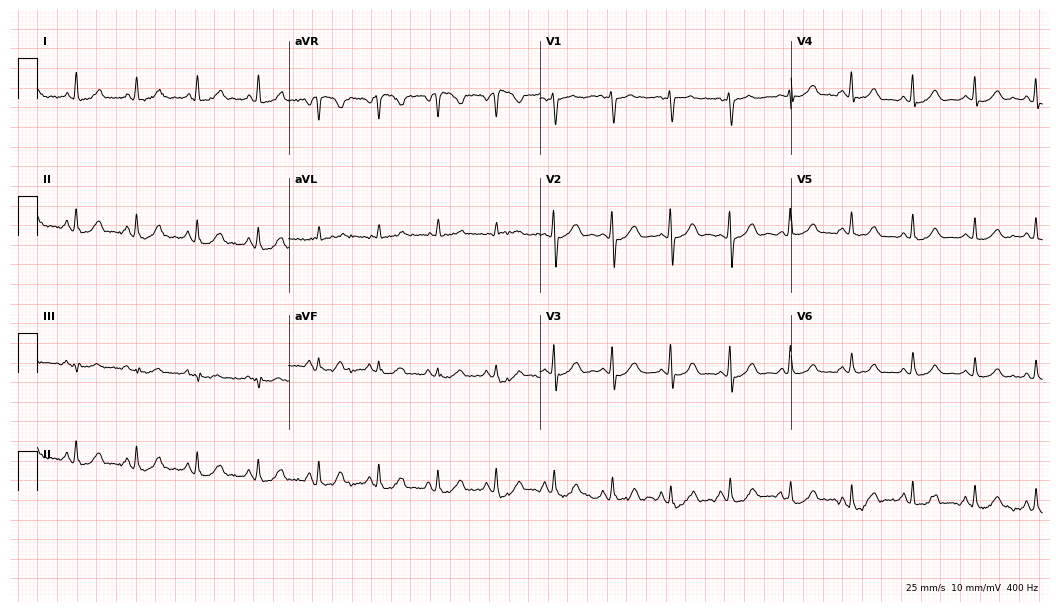
Resting 12-lead electrocardiogram (10.2-second recording at 400 Hz). Patient: a female, 48 years old. None of these six findings is recorded: first-degree AV block, right bundle branch block, left bundle branch block, sinus bradycardia, atrial fibrillation, sinus tachycardia. Findings outside these six are not listed.